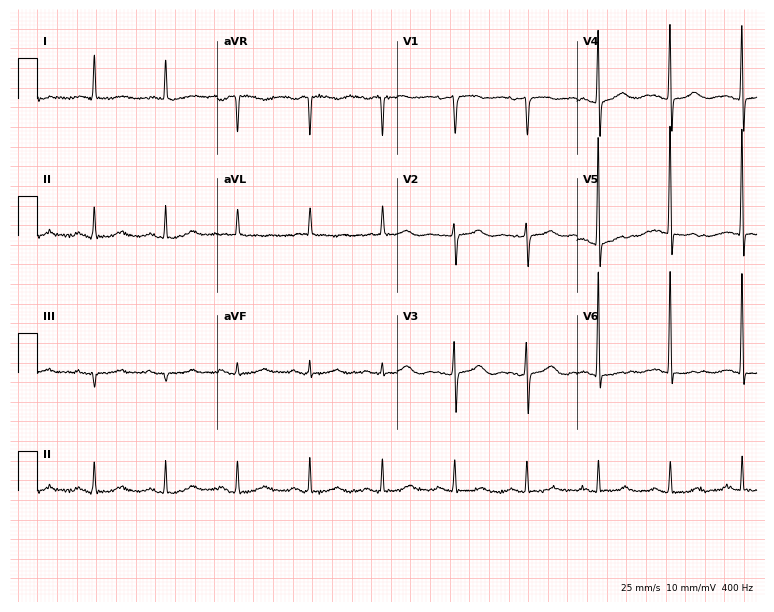
ECG — a female patient, 77 years old. Screened for six findings — first-degree AV block, right bundle branch block (RBBB), left bundle branch block (LBBB), sinus bradycardia, atrial fibrillation (AF), sinus tachycardia — none is recorded.